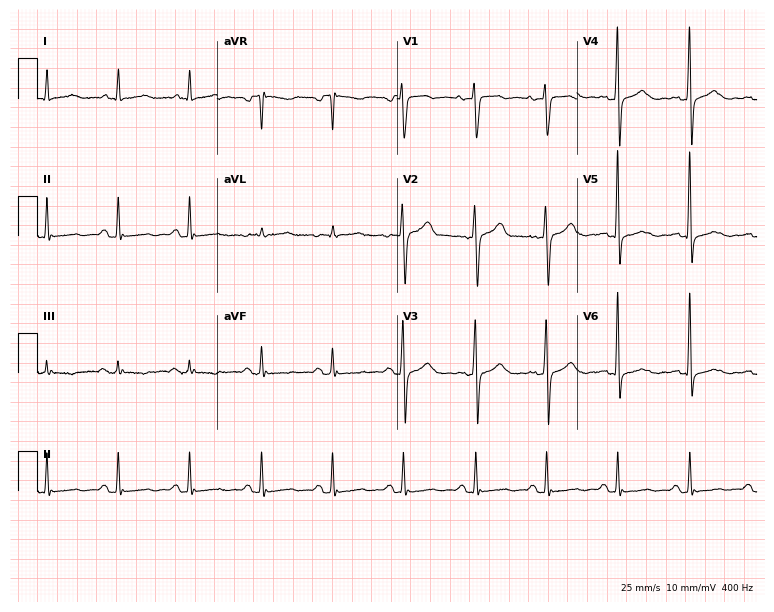
ECG — a 62-year-old female. Screened for six findings — first-degree AV block, right bundle branch block (RBBB), left bundle branch block (LBBB), sinus bradycardia, atrial fibrillation (AF), sinus tachycardia — none is recorded. Findings outside these six are not listed.